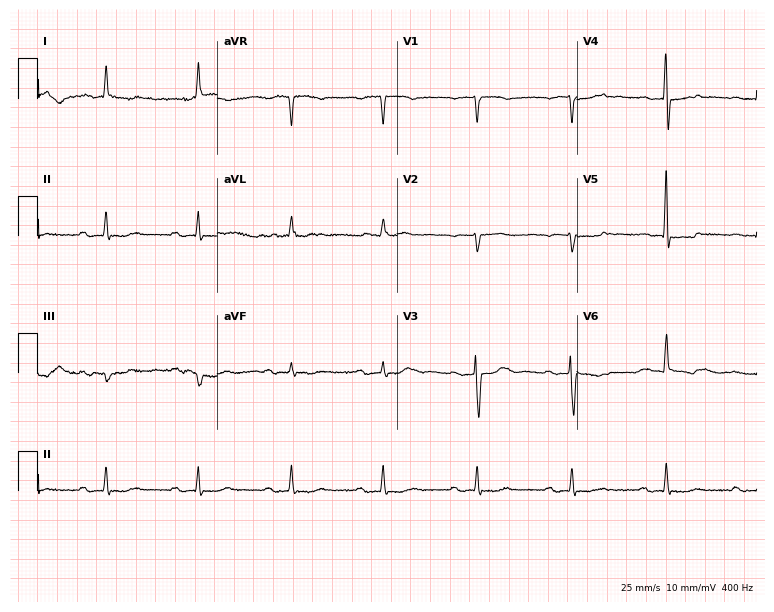
12-lead ECG from a woman, 85 years old (7.3-second recording at 400 Hz). Shows first-degree AV block.